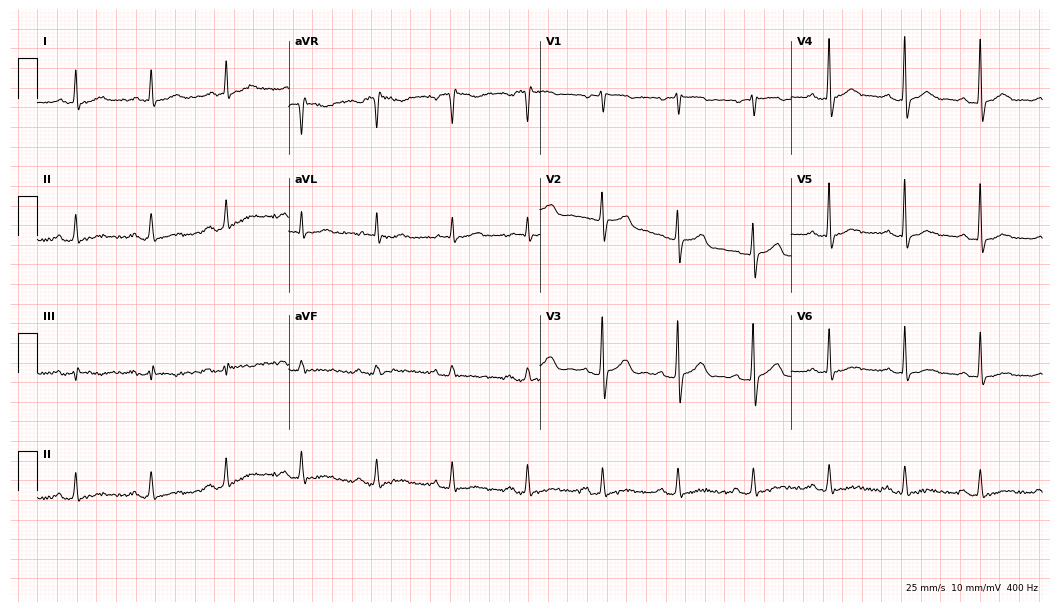
Electrocardiogram, an 84-year-old male. Overall reading on record: normal ECG.